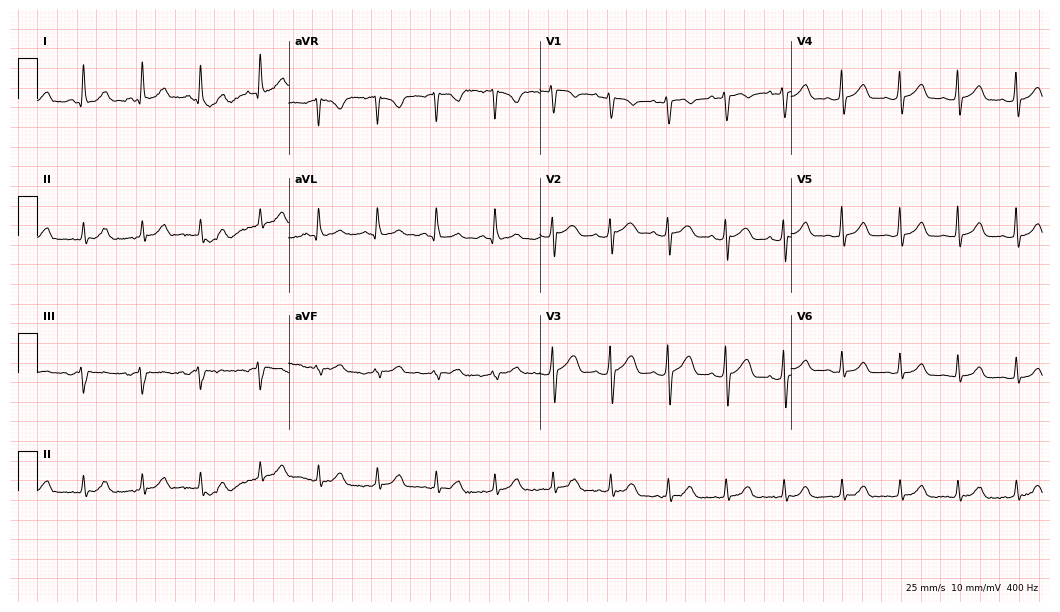
Standard 12-lead ECG recorded from a female, 37 years old (10.2-second recording at 400 Hz). The tracing shows sinus tachycardia (a sinus rate of 100 beats per minute or more).